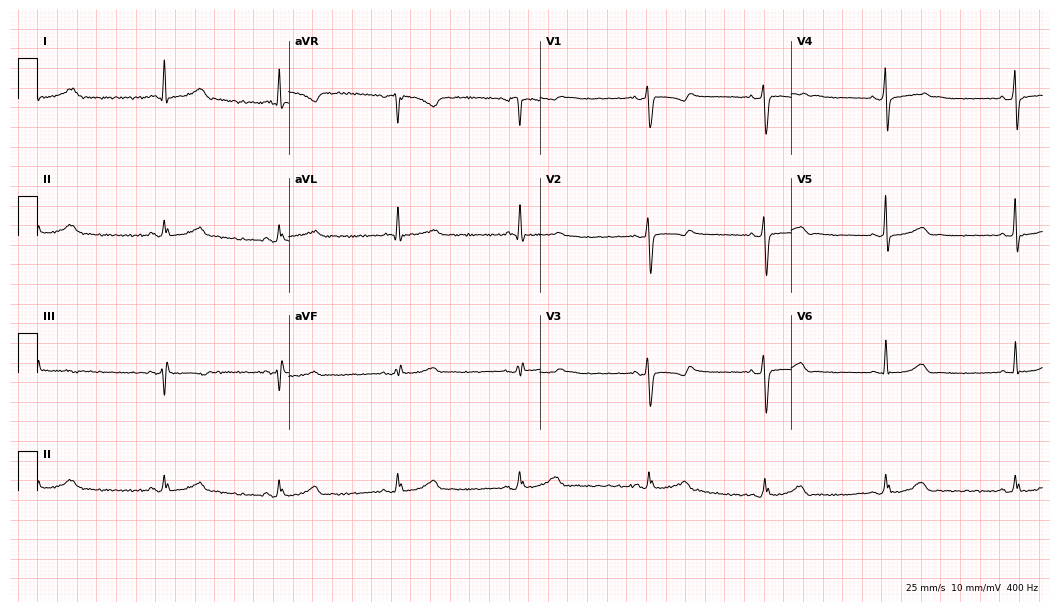
Standard 12-lead ECG recorded from a female patient, 45 years old. None of these six findings is recorded: first-degree AV block, right bundle branch block, left bundle branch block, sinus bradycardia, atrial fibrillation, sinus tachycardia.